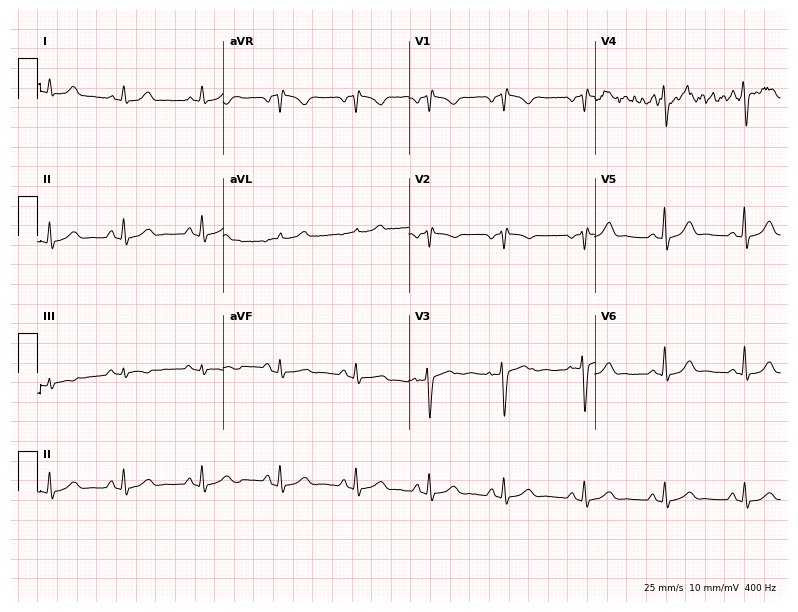
Electrocardiogram, a 38-year-old woman. Overall reading on record: normal ECG.